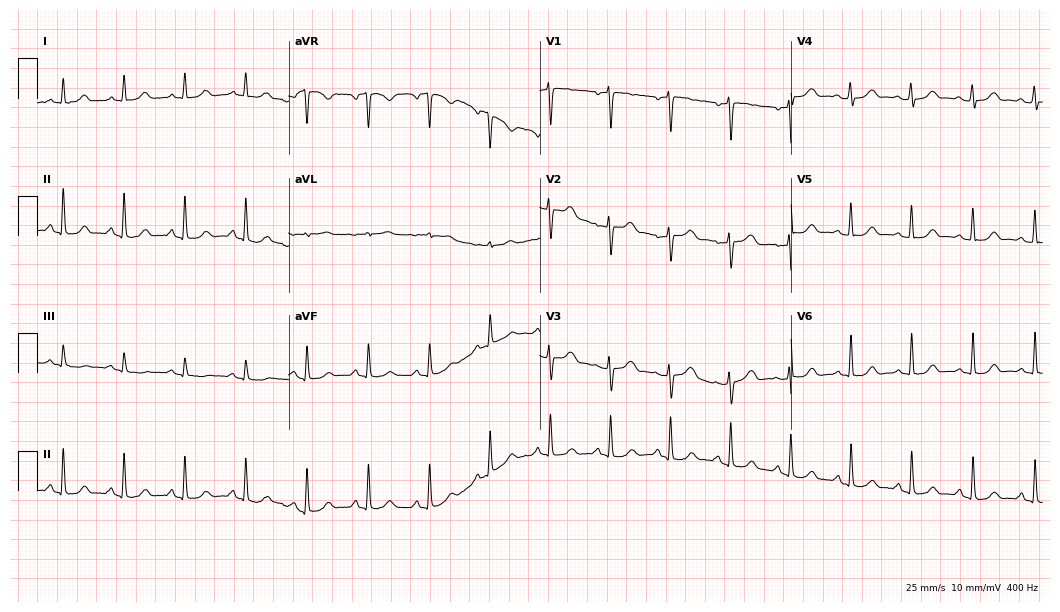
12-lead ECG (10.2-second recording at 400 Hz) from a female patient, 41 years old. Labelled as a normal ECG.